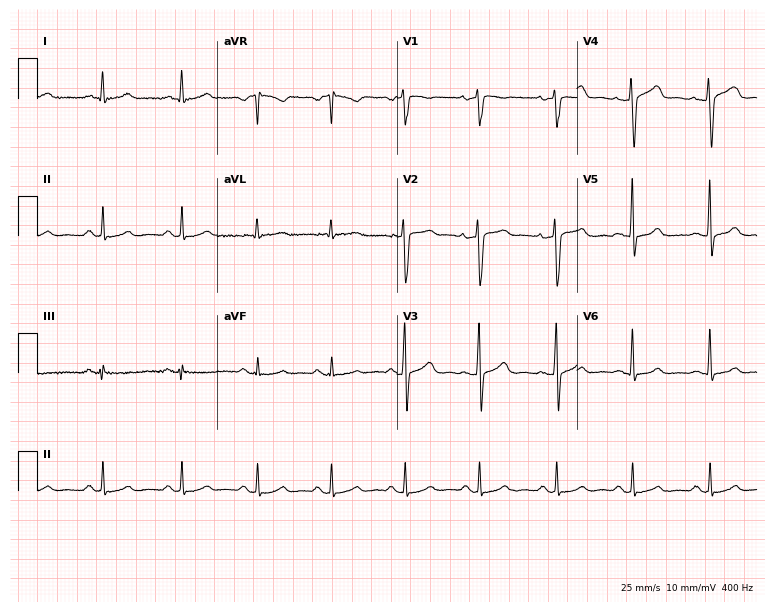
Resting 12-lead electrocardiogram. Patient: a 41-year-old female. Read as a normal ECG.